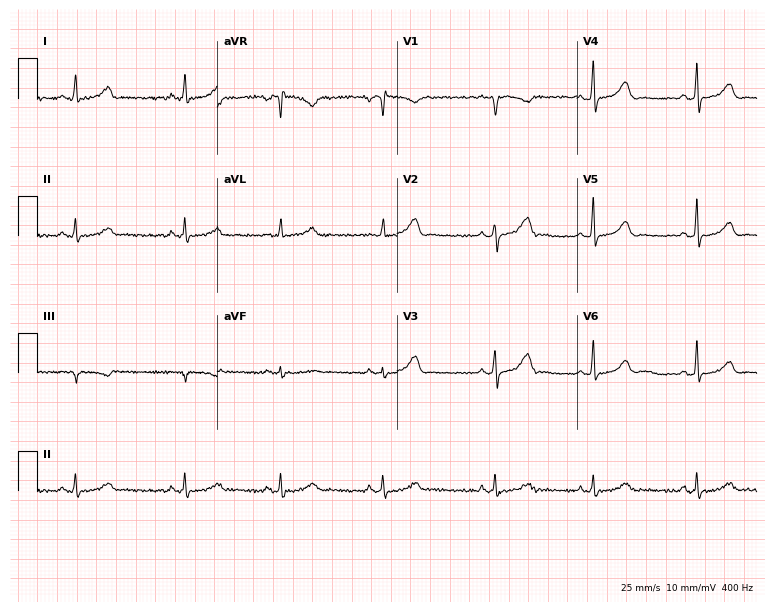
Electrocardiogram (7.3-second recording at 400 Hz), a 22-year-old female. Overall reading on record: normal ECG.